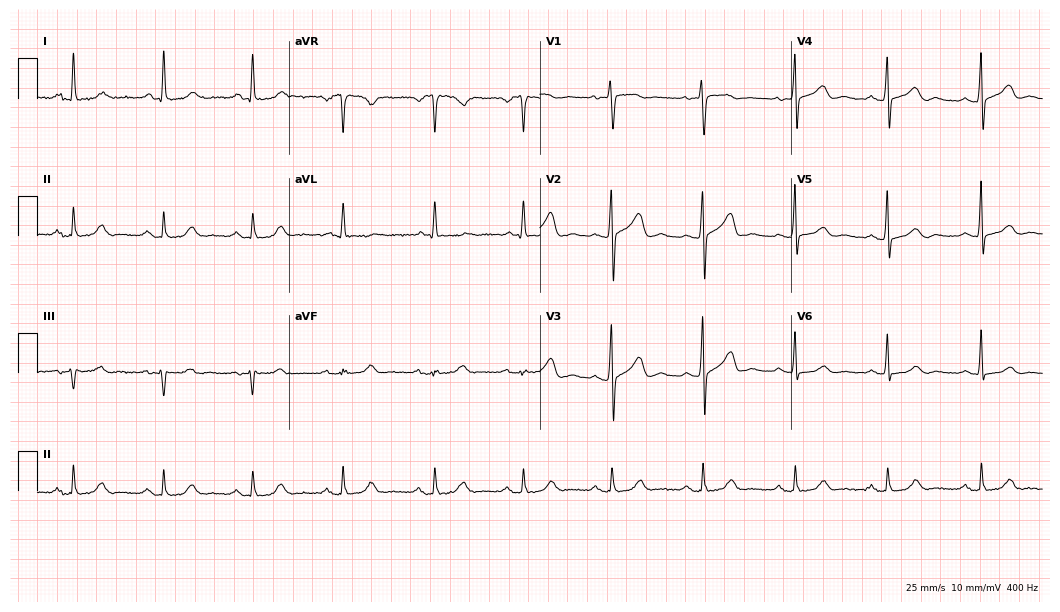
Standard 12-lead ECG recorded from a woman, 77 years old. Read as a normal ECG.